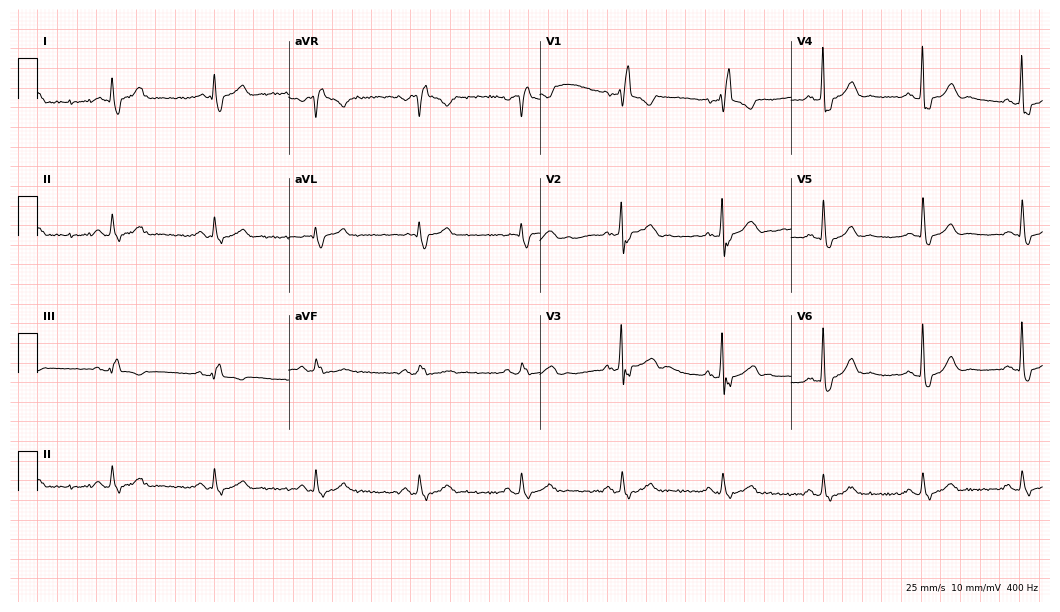
Electrocardiogram, a man, 76 years old. Interpretation includes right bundle branch block (RBBB).